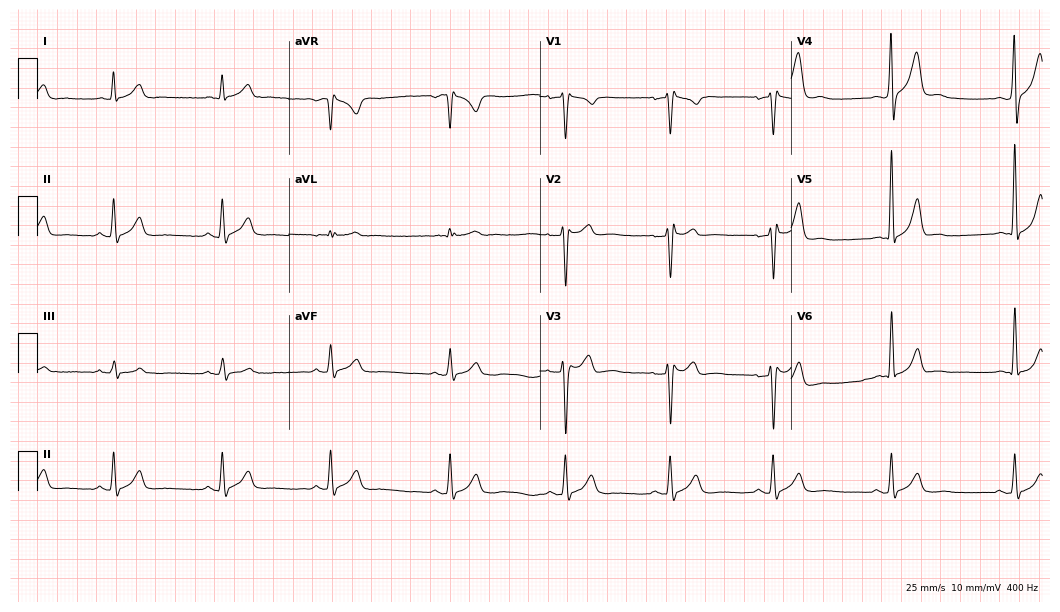
Electrocardiogram (10.2-second recording at 400 Hz), a 32-year-old male patient. Of the six screened findings (first-degree AV block, right bundle branch block, left bundle branch block, sinus bradycardia, atrial fibrillation, sinus tachycardia), none is recorded.